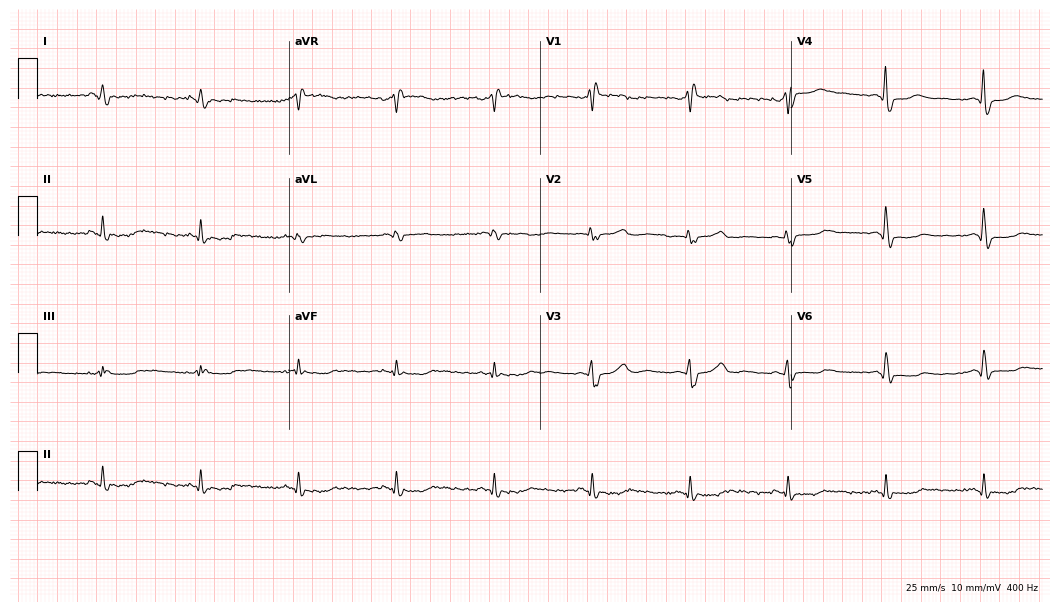
12-lead ECG from a 62-year-old male patient. Shows right bundle branch block.